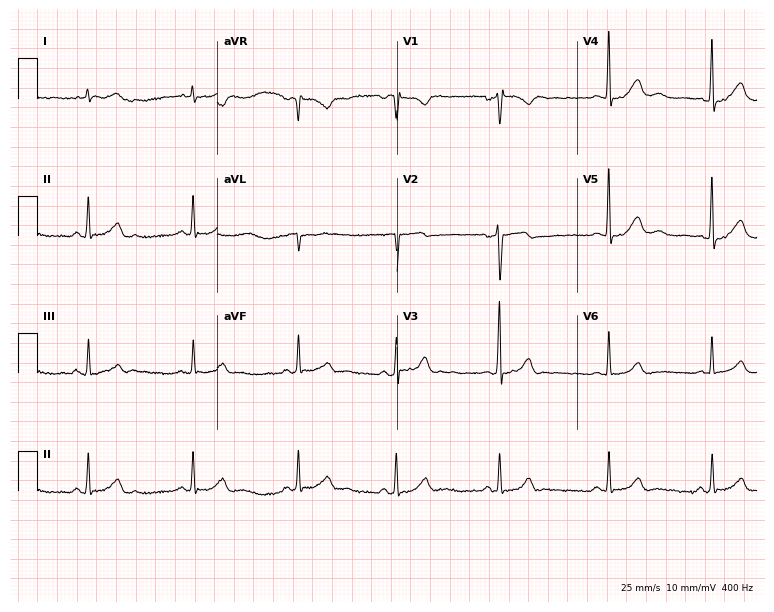
Resting 12-lead electrocardiogram. Patient: a man, 42 years old. Read as a normal ECG.